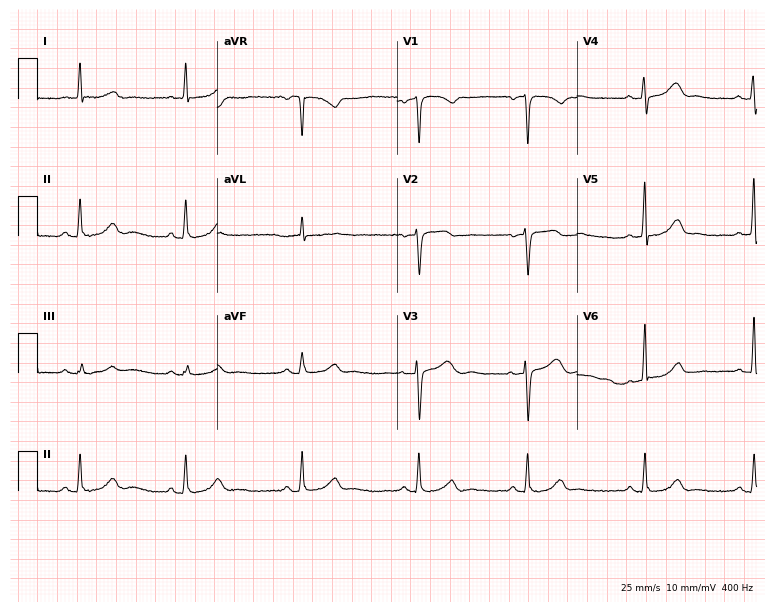
Standard 12-lead ECG recorded from a woman, 52 years old (7.3-second recording at 400 Hz). Read as a normal ECG.